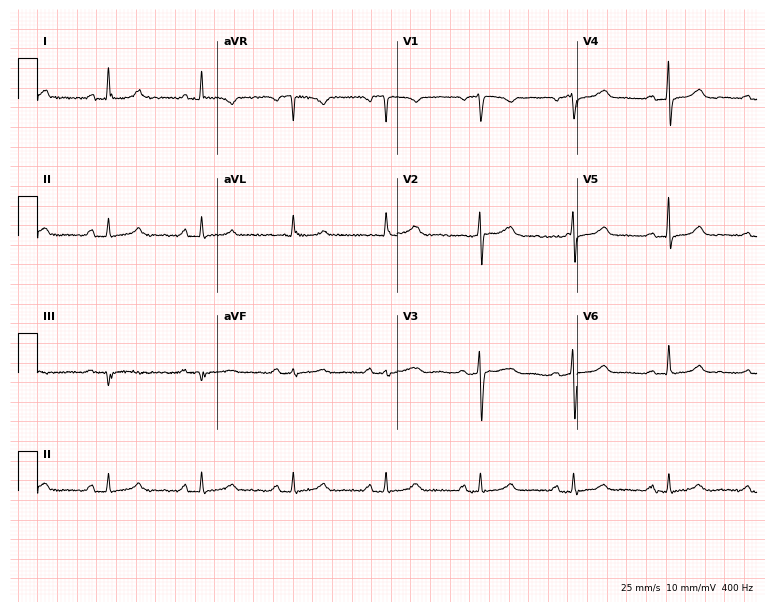
ECG — a female patient, 55 years old. Screened for six findings — first-degree AV block, right bundle branch block, left bundle branch block, sinus bradycardia, atrial fibrillation, sinus tachycardia — none is recorded. Only these six findings were labelled.